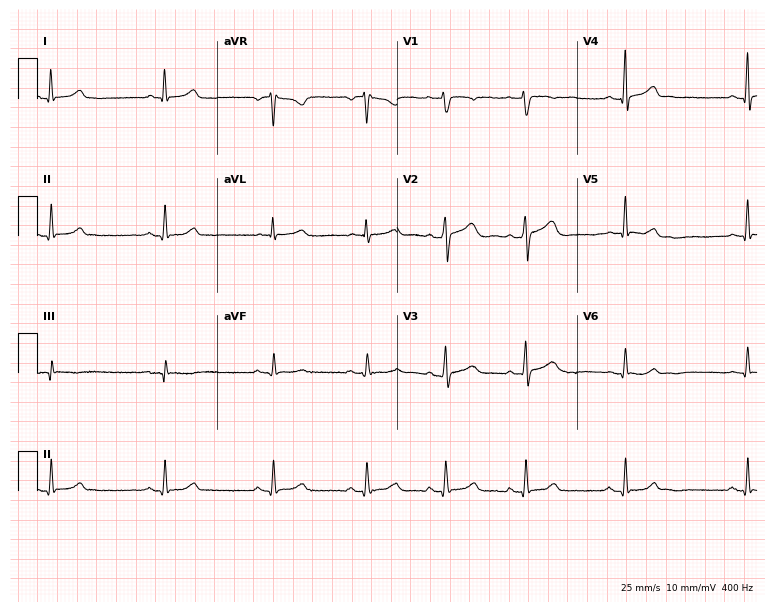
12-lead ECG (7.3-second recording at 400 Hz) from a man, 47 years old. Screened for six findings — first-degree AV block, right bundle branch block (RBBB), left bundle branch block (LBBB), sinus bradycardia, atrial fibrillation (AF), sinus tachycardia — none is recorded. Only these six findings were labelled.